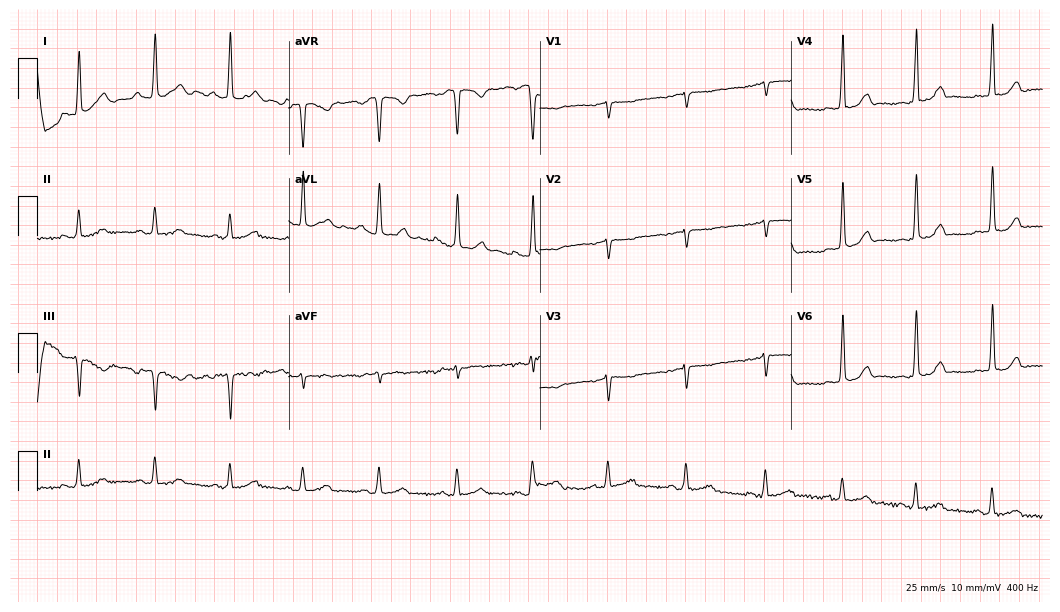
Resting 12-lead electrocardiogram (10.2-second recording at 400 Hz). Patient: a 17-year-old woman. Read as a normal ECG.